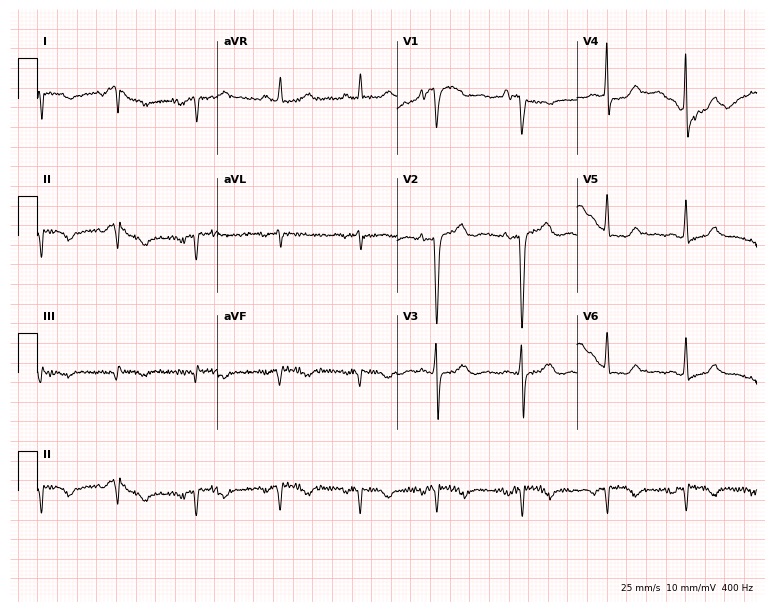
Standard 12-lead ECG recorded from a 77-year-old female (7.3-second recording at 400 Hz). None of these six findings is recorded: first-degree AV block, right bundle branch block, left bundle branch block, sinus bradycardia, atrial fibrillation, sinus tachycardia.